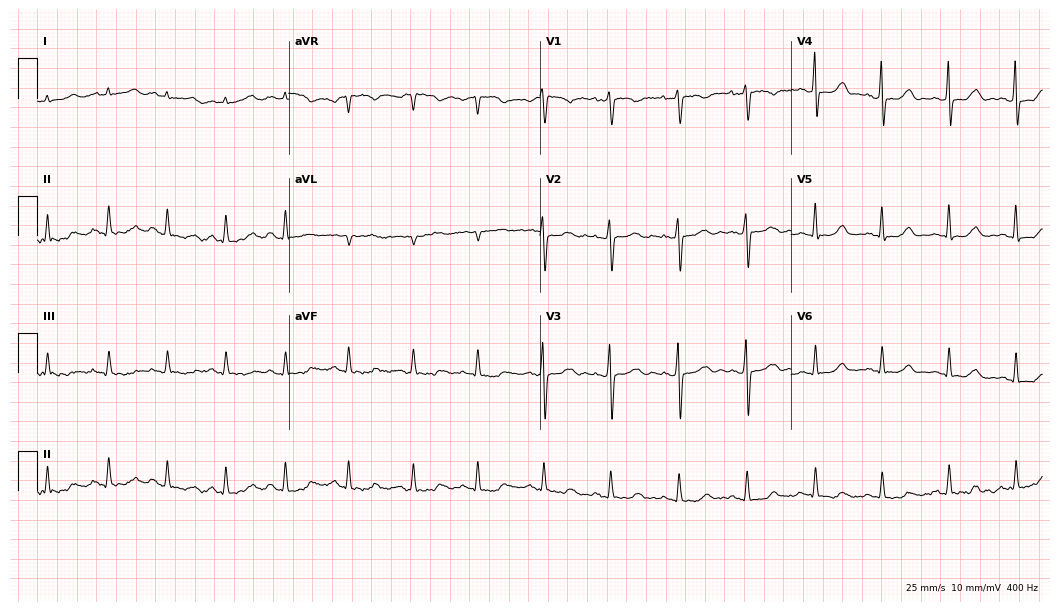
ECG — a 28-year-old female patient. Screened for six findings — first-degree AV block, right bundle branch block, left bundle branch block, sinus bradycardia, atrial fibrillation, sinus tachycardia — none is recorded. Findings outside these six are not listed.